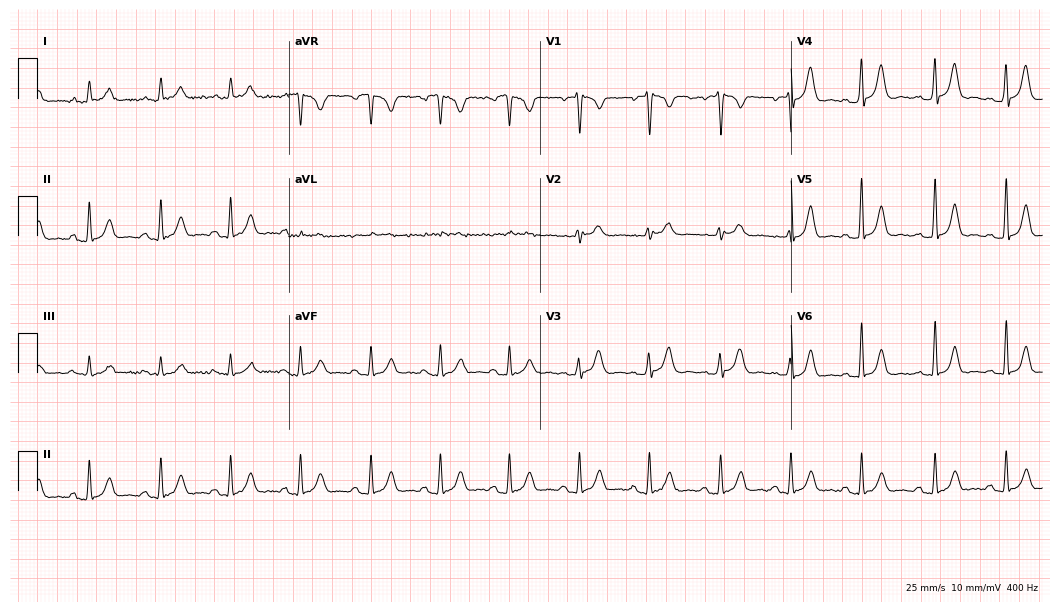
Standard 12-lead ECG recorded from a 38-year-old female patient (10.2-second recording at 400 Hz). Read as a normal ECG.